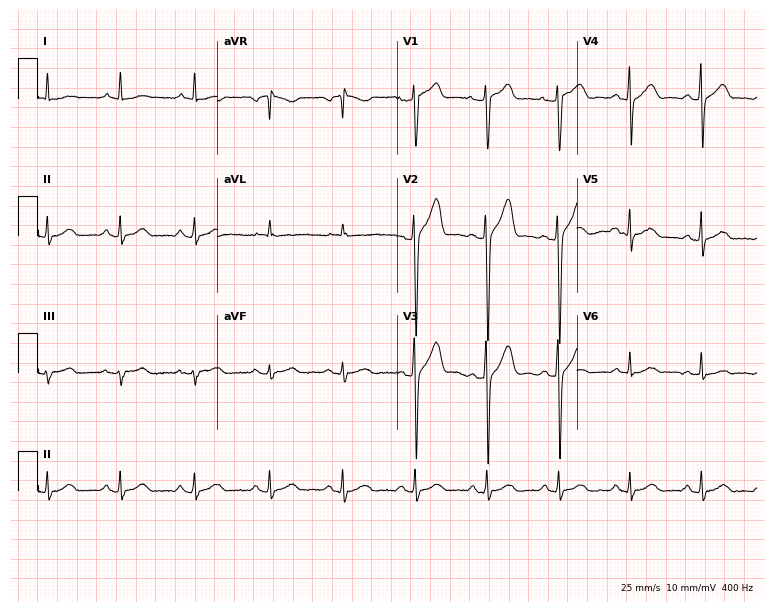
Standard 12-lead ECG recorded from a male, 46 years old (7.3-second recording at 400 Hz). Read as a normal ECG.